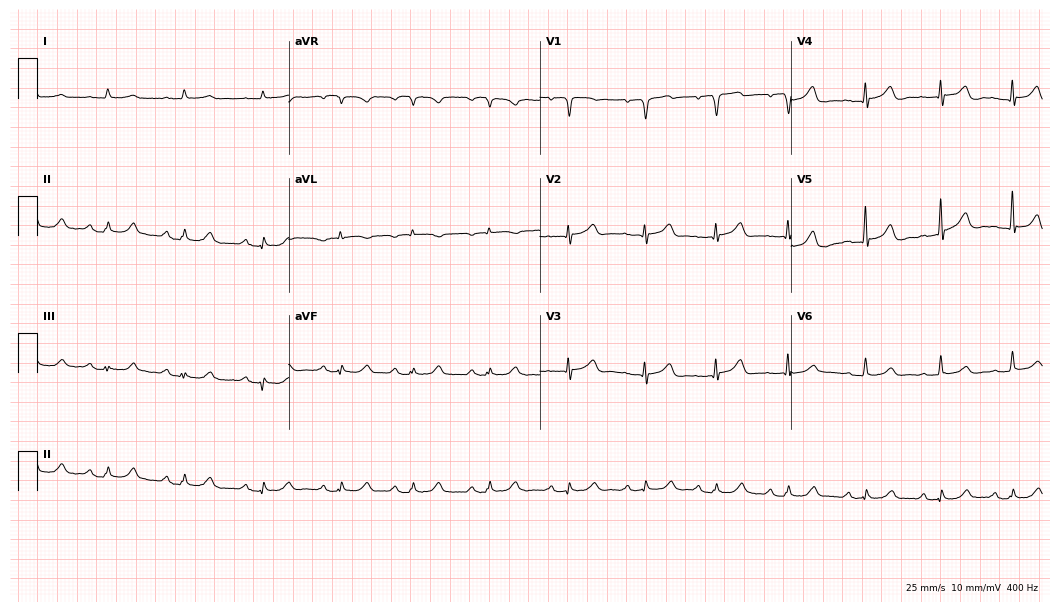
Standard 12-lead ECG recorded from a 62-year-old male patient (10.2-second recording at 400 Hz). None of these six findings is recorded: first-degree AV block, right bundle branch block (RBBB), left bundle branch block (LBBB), sinus bradycardia, atrial fibrillation (AF), sinus tachycardia.